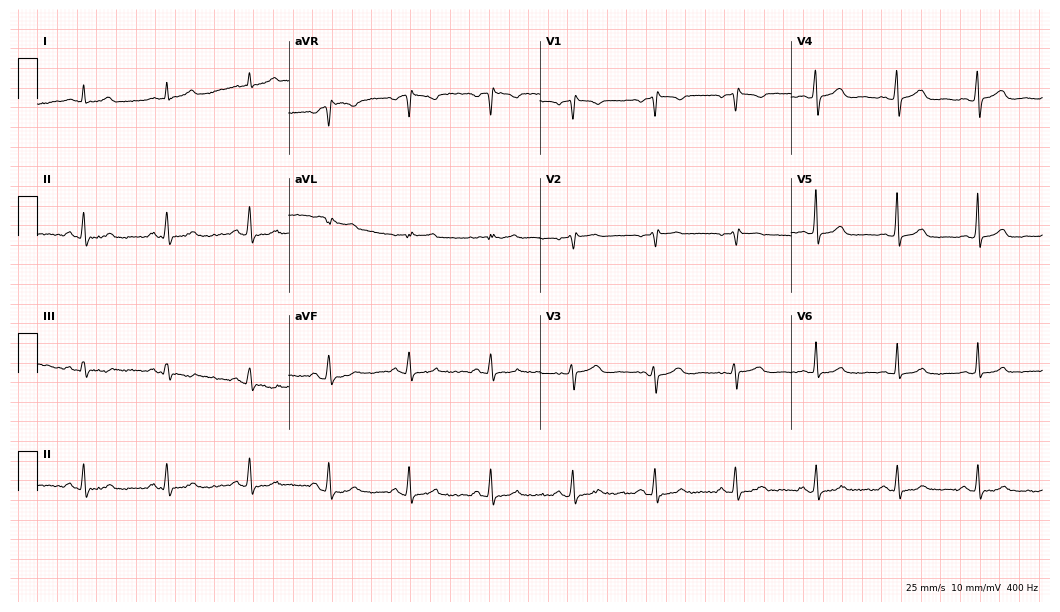
Standard 12-lead ECG recorded from a 60-year-old woman (10.2-second recording at 400 Hz). None of these six findings is recorded: first-degree AV block, right bundle branch block (RBBB), left bundle branch block (LBBB), sinus bradycardia, atrial fibrillation (AF), sinus tachycardia. Findings outside these six are not listed.